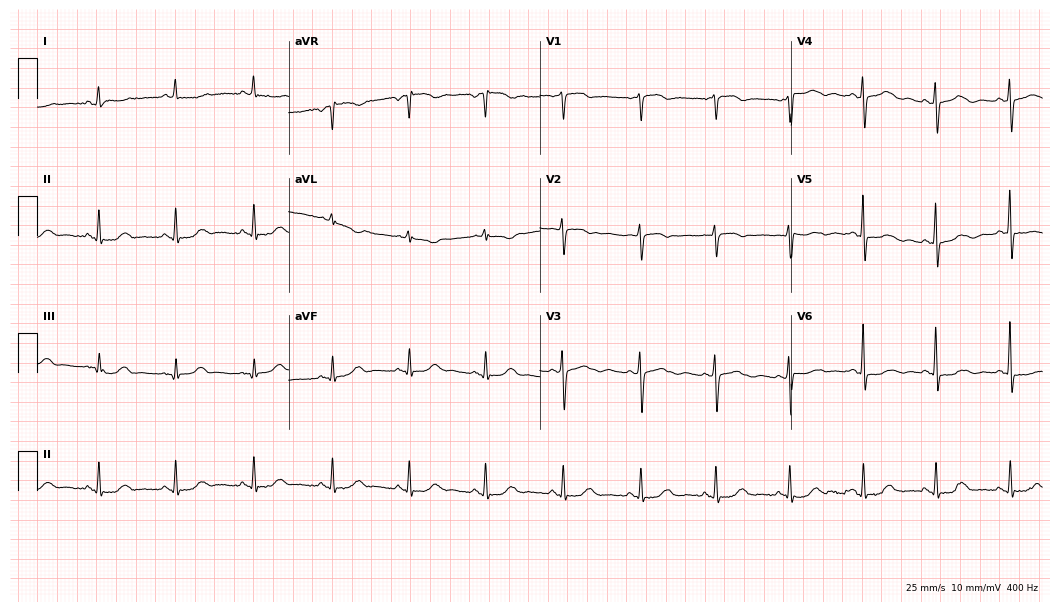
ECG (10.2-second recording at 400 Hz) — a female, 74 years old. Screened for six findings — first-degree AV block, right bundle branch block, left bundle branch block, sinus bradycardia, atrial fibrillation, sinus tachycardia — none is recorded.